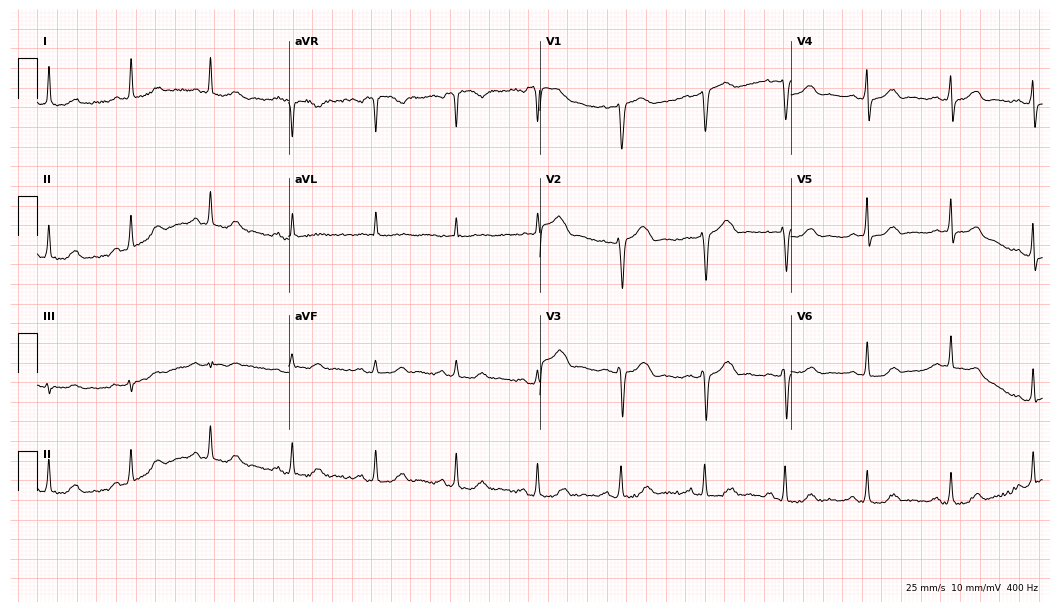
12-lead ECG from a 66-year-old woman. Screened for six findings — first-degree AV block, right bundle branch block, left bundle branch block, sinus bradycardia, atrial fibrillation, sinus tachycardia — none is recorded.